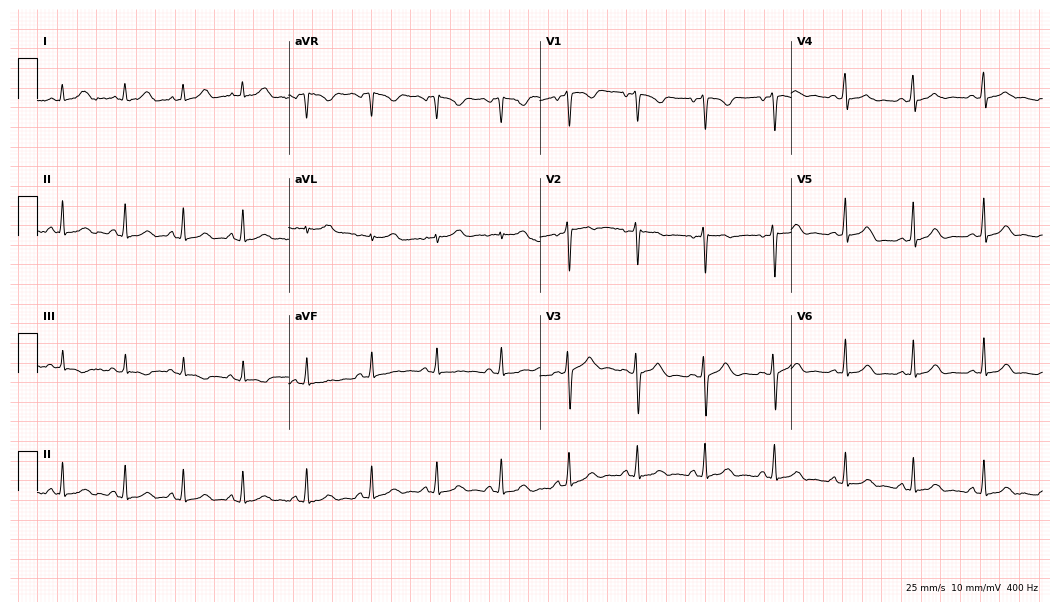
Electrocardiogram, a 19-year-old female. Overall reading on record: normal ECG.